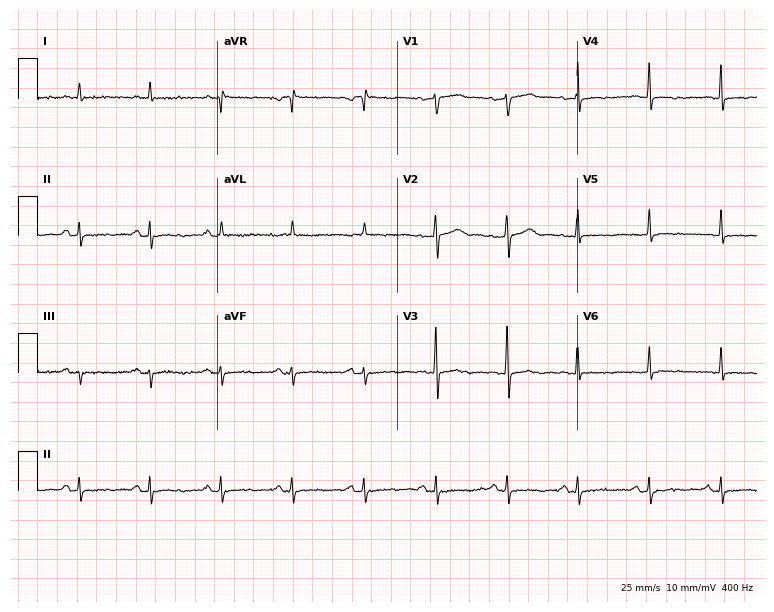
Electrocardiogram, a 76-year-old man. Of the six screened findings (first-degree AV block, right bundle branch block, left bundle branch block, sinus bradycardia, atrial fibrillation, sinus tachycardia), none is recorded.